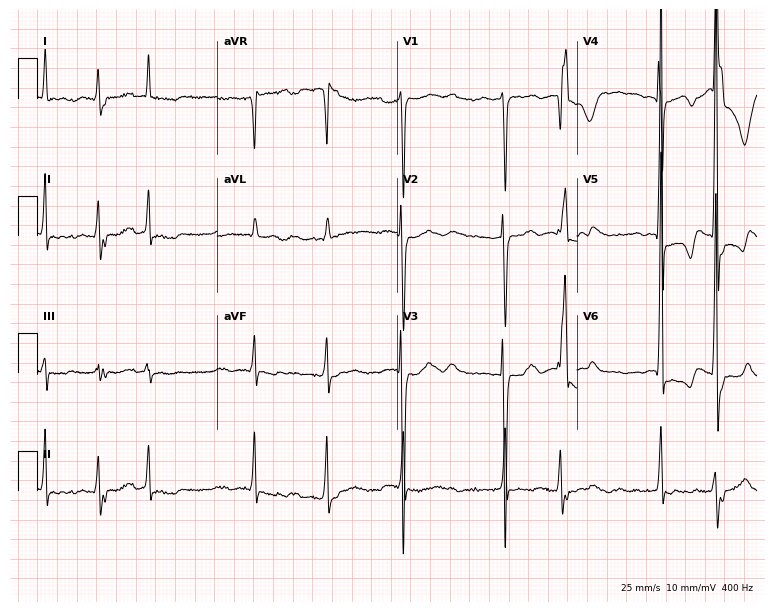
Standard 12-lead ECG recorded from a male, 78 years old. The tracing shows atrial fibrillation.